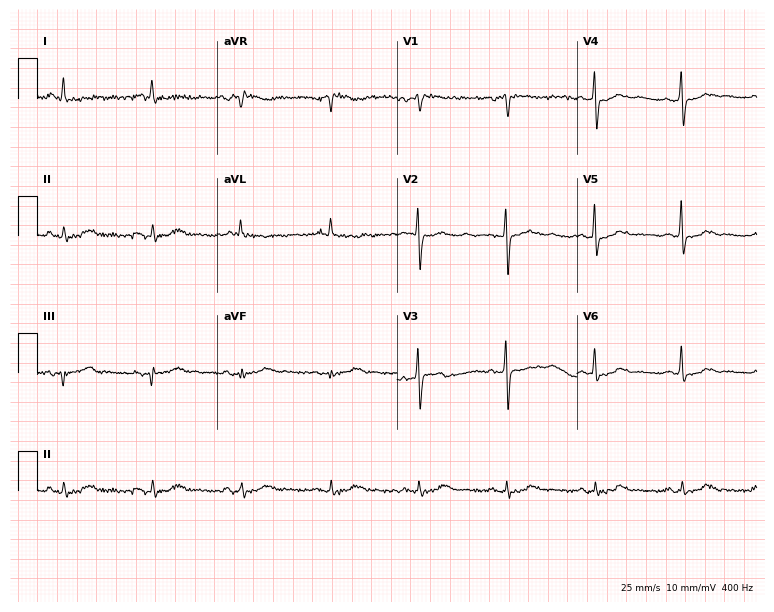
12-lead ECG from a 57-year-old female (7.3-second recording at 400 Hz). No first-degree AV block, right bundle branch block (RBBB), left bundle branch block (LBBB), sinus bradycardia, atrial fibrillation (AF) or sinus tachycardia recorded for this tracing.